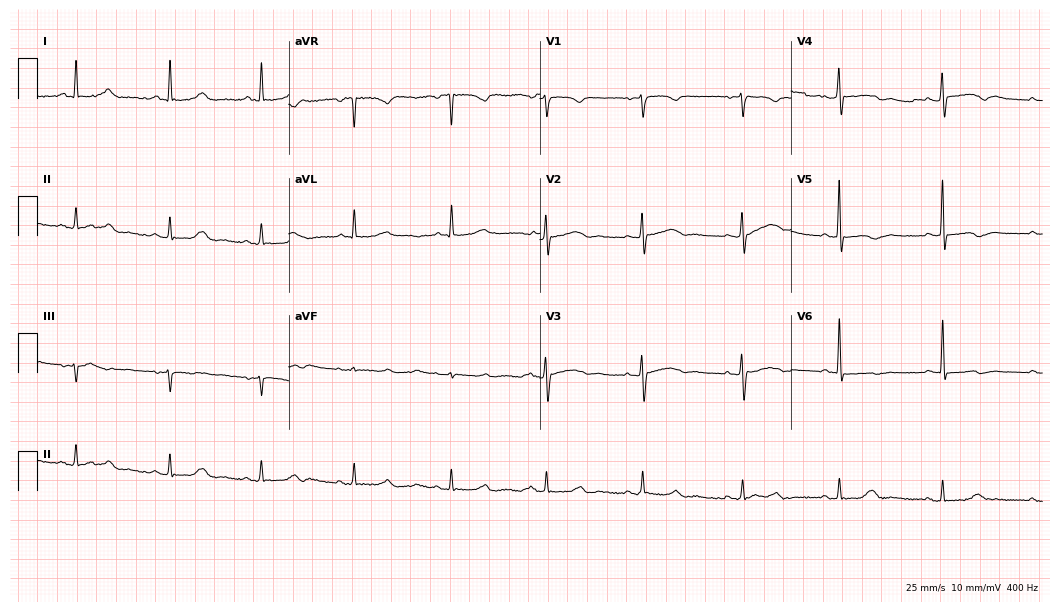
ECG — a 56-year-old female. Screened for six findings — first-degree AV block, right bundle branch block (RBBB), left bundle branch block (LBBB), sinus bradycardia, atrial fibrillation (AF), sinus tachycardia — none is recorded.